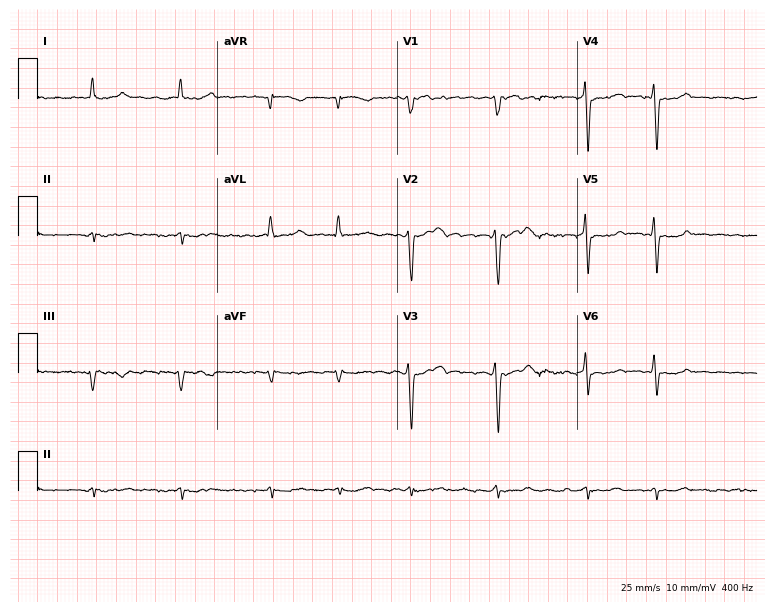
12-lead ECG (7.3-second recording at 400 Hz) from a 60-year-old male patient. Findings include atrial fibrillation.